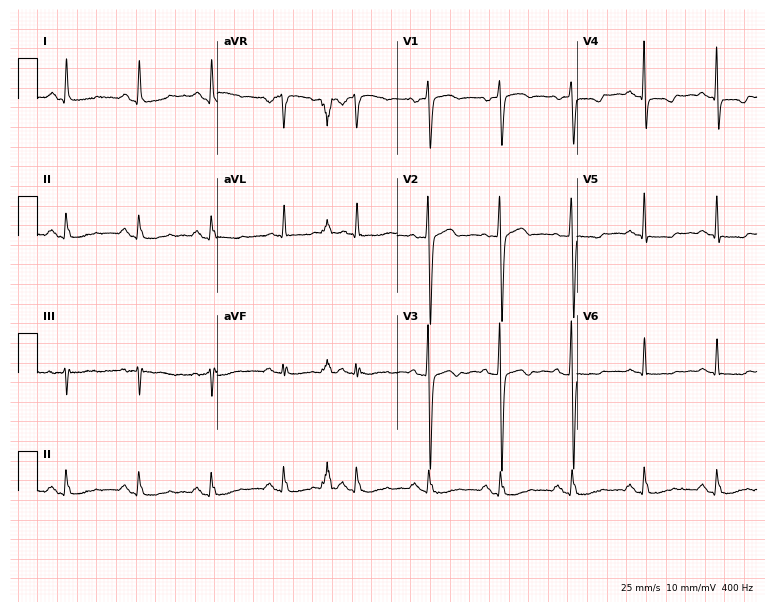
12-lead ECG from a 74-year-old female patient. No first-degree AV block, right bundle branch block, left bundle branch block, sinus bradycardia, atrial fibrillation or sinus tachycardia recorded for this tracing. Other findings, if any, are not listed.